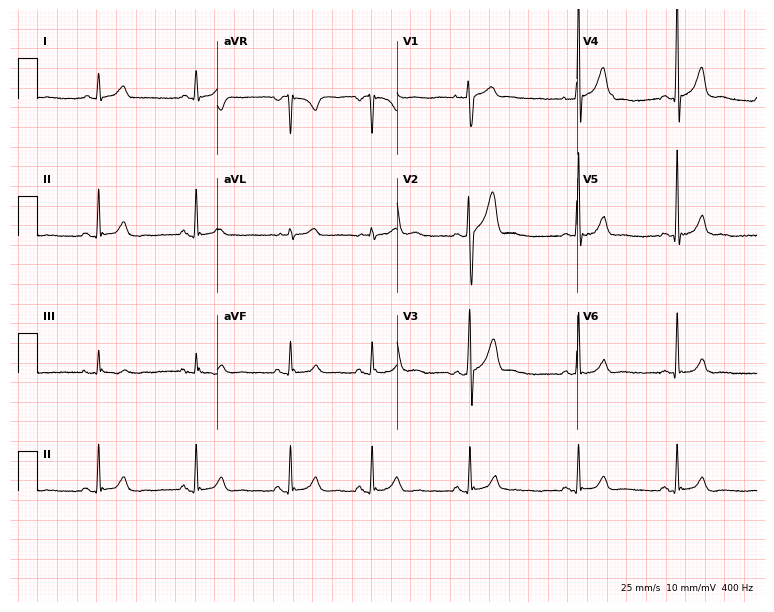
ECG — a male patient, 31 years old. Screened for six findings — first-degree AV block, right bundle branch block, left bundle branch block, sinus bradycardia, atrial fibrillation, sinus tachycardia — none is recorded.